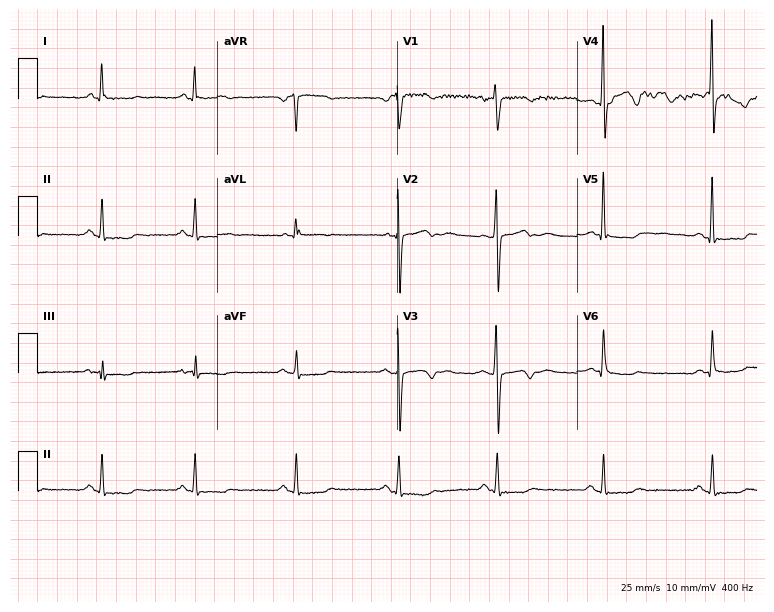
Standard 12-lead ECG recorded from a woman, 57 years old. None of these six findings is recorded: first-degree AV block, right bundle branch block, left bundle branch block, sinus bradycardia, atrial fibrillation, sinus tachycardia.